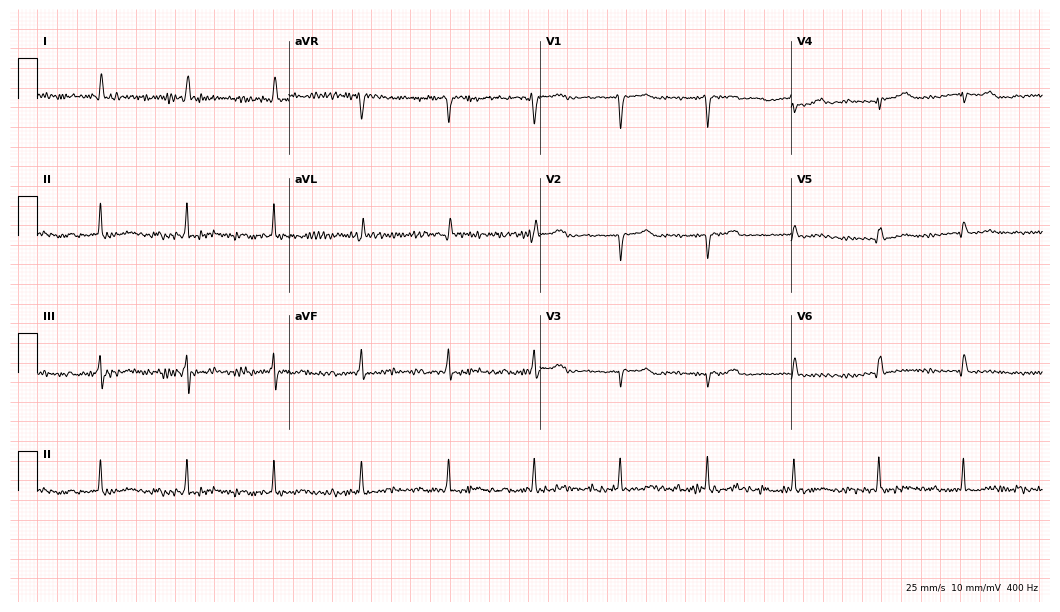
Electrocardiogram, a female patient, 77 years old. Of the six screened findings (first-degree AV block, right bundle branch block, left bundle branch block, sinus bradycardia, atrial fibrillation, sinus tachycardia), none is recorded. Findings outside these six are not listed.